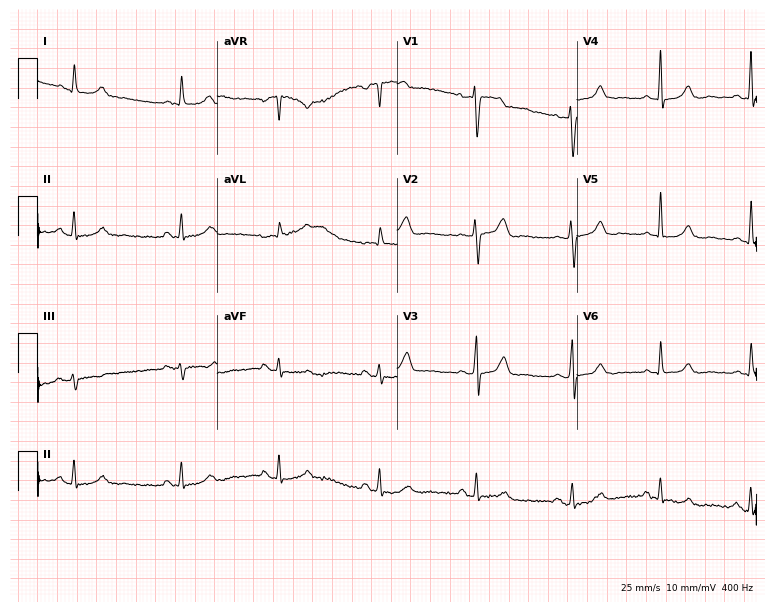
Resting 12-lead electrocardiogram. Patient: a female, 57 years old. None of these six findings is recorded: first-degree AV block, right bundle branch block, left bundle branch block, sinus bradycardia, atrial fibrillation, sinus tachycardia. Only these six findings were labelled.